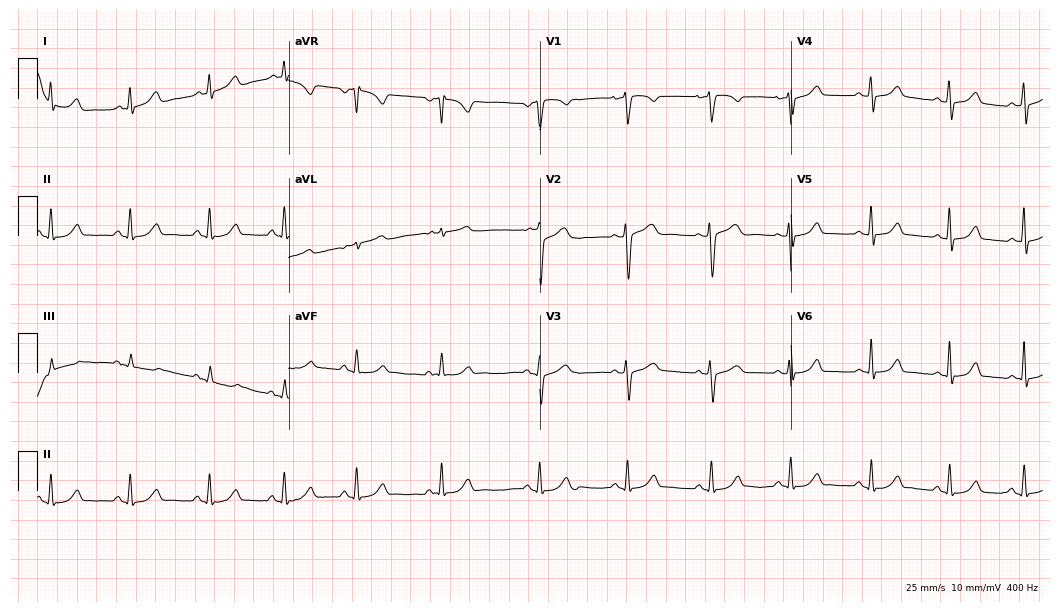
Electrocardiogram (10.2-second recording at 400 Hz), a 38-year-old female patient. Overall reading on record: normal ECG.